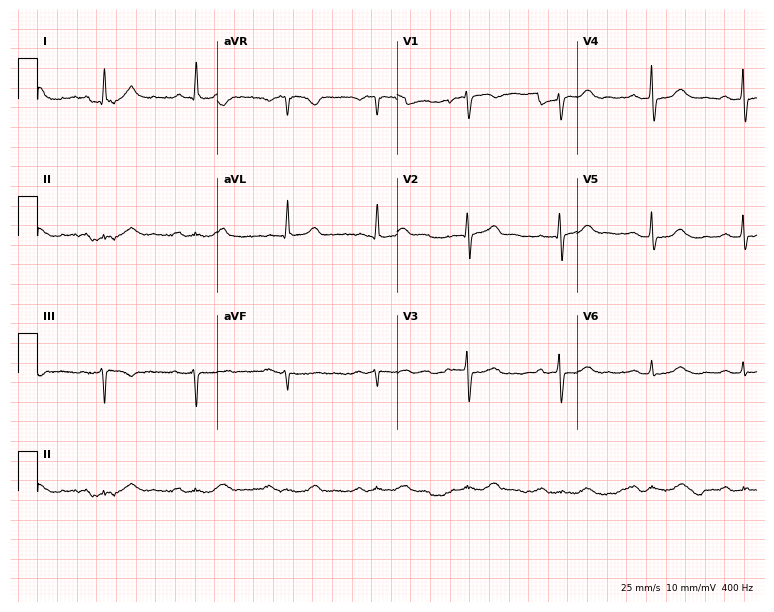
ECG — a 62-year-old male. Labelled as a normal ECG.